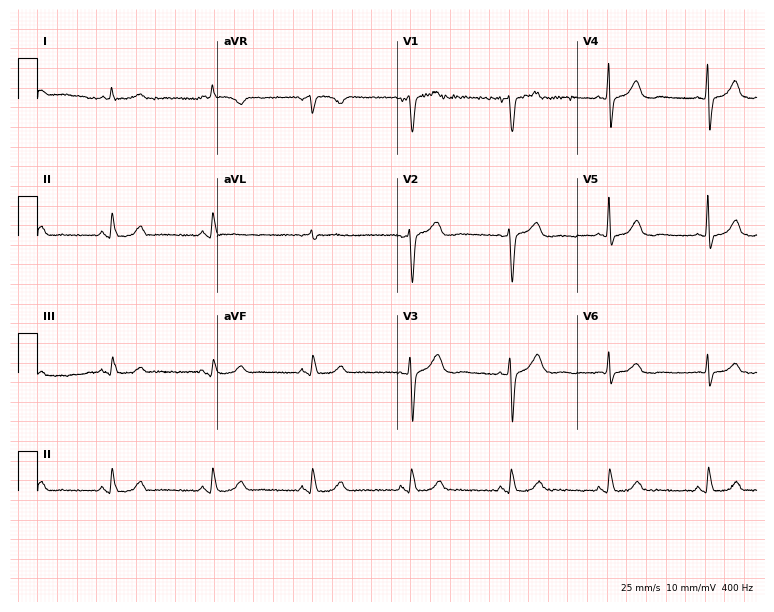
ECG — a man, 59 years old. Screened for six findings — first-degree AV block, right bundle branch block, left bundle branch block, sinus bradycardia, atrial fibrillation, sinus tachycardia — none is recorded. Findings outside these six are not listed.